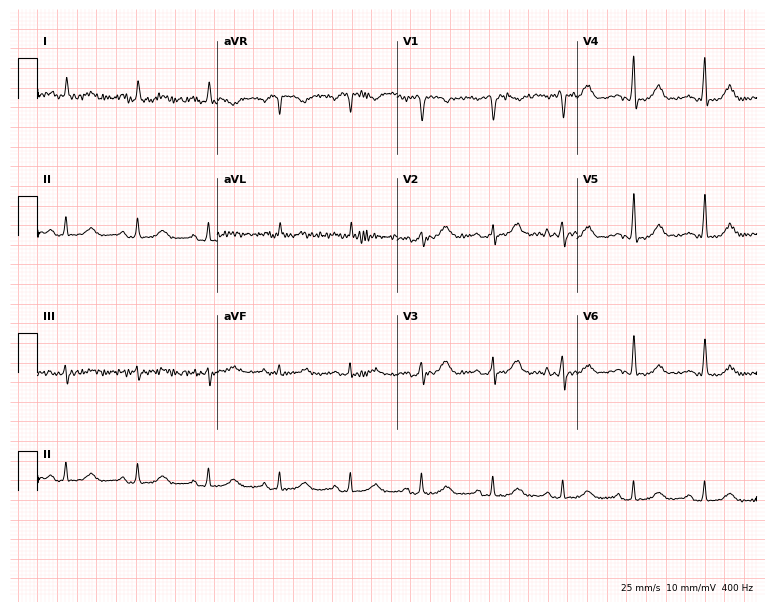
Electrocardiogram (7.3-second recording at 400 Hz), a 72-year-old female. Of the six screened findings (first-degree AV block, right bundle branch block, left bundle branch block, sinus bradycardia, atrial fibrillation, sinus tachycardia), none is recorded.